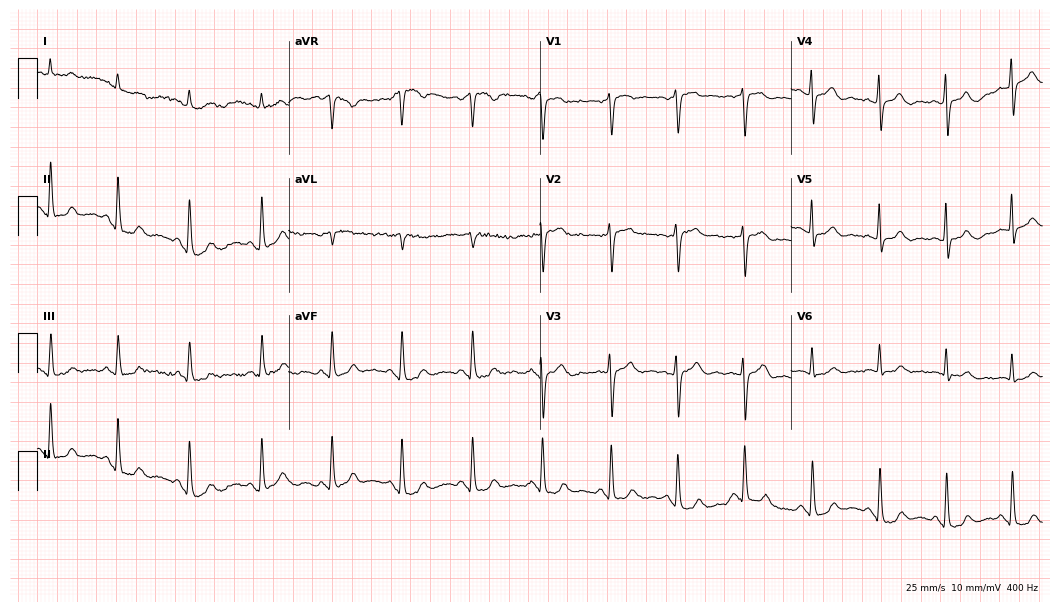
Resting 12-lead electrocardiogram (10.2-second recording at 400 Hz). Patient: a 79-year-old male. Read as a normal ECG.